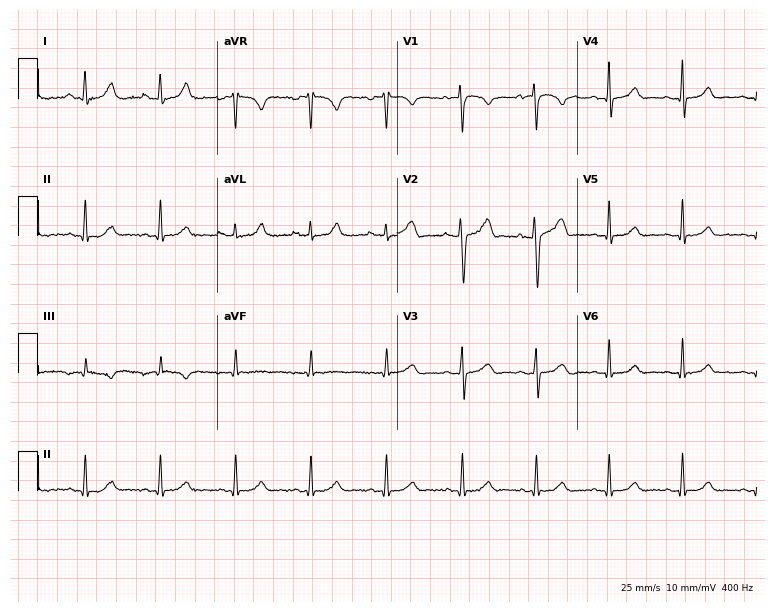
Electrocardiogram (7.3-second recording at 400 Hz), a 22-year-old female. Overall reading on record: normal ECG.